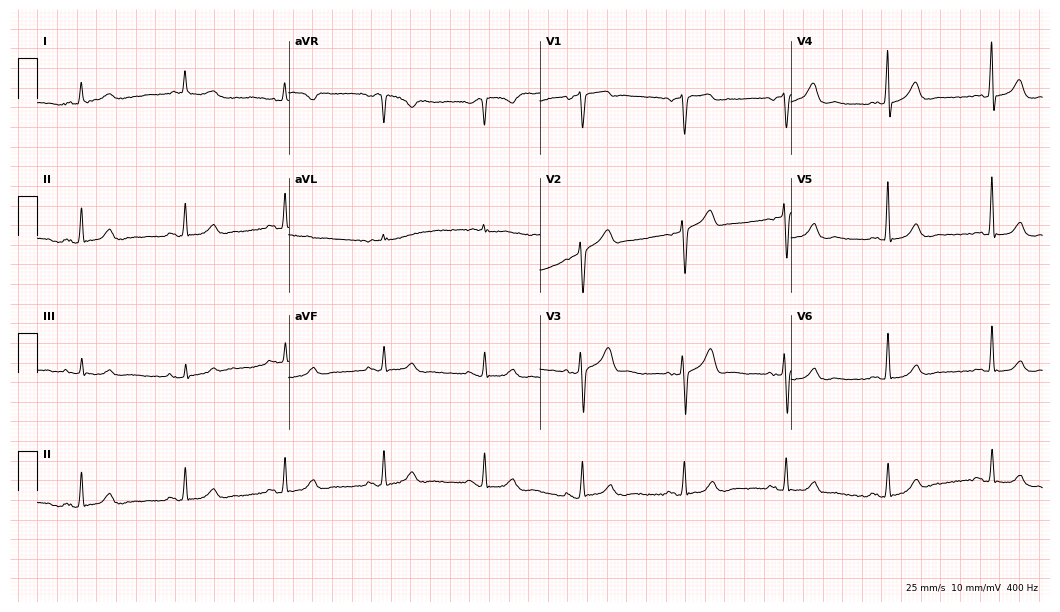
12-lead ECG from an 84-year-old man (10.2-second recording at 400 Hz). Recorded interpretation: within normal limits.